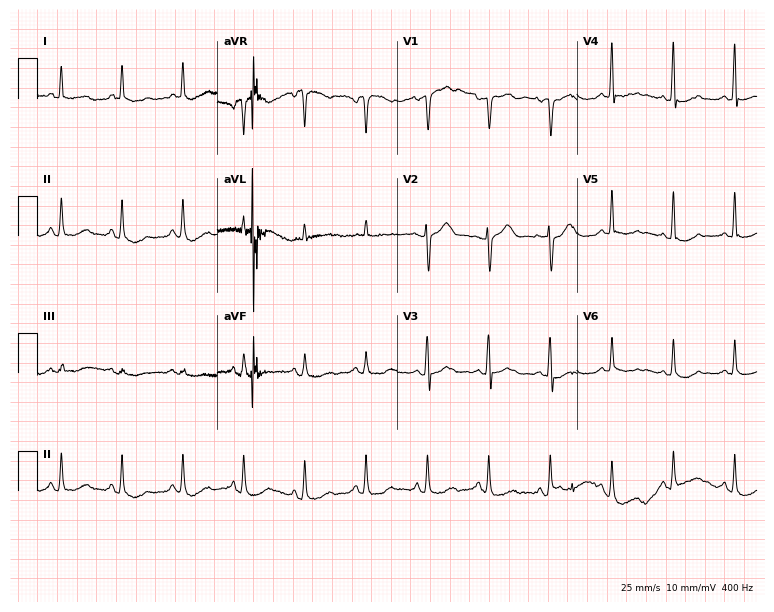
Resting 12-lead electrocardiogram. Patient: a male, 75 years old. Read as a normal ECG.